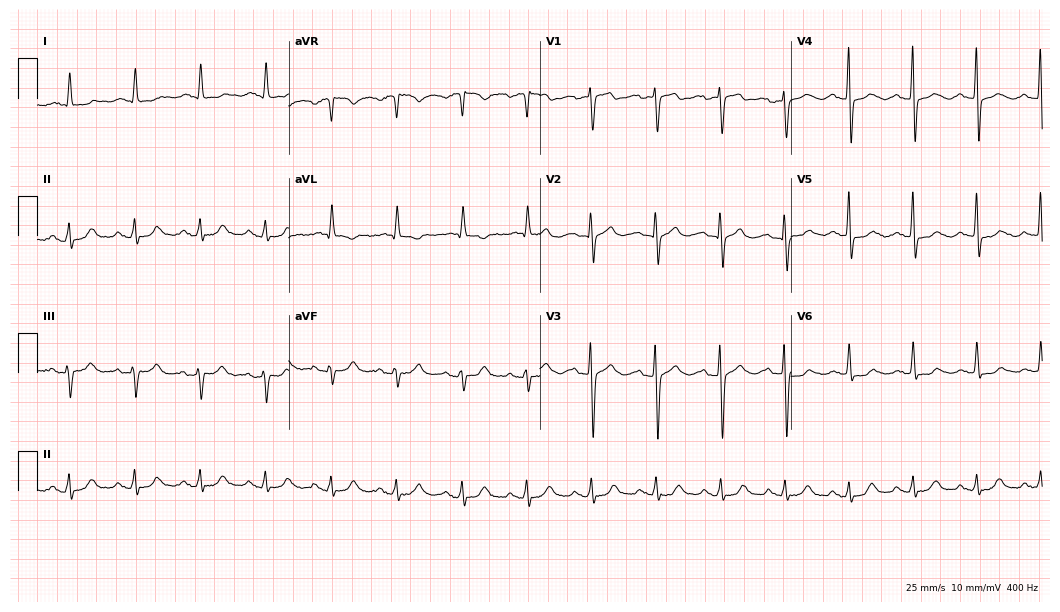
12-lead ECG from a woman, 79 years old (10.2-second recording at 400 Hz). Recorded interpretation: within normal limits.